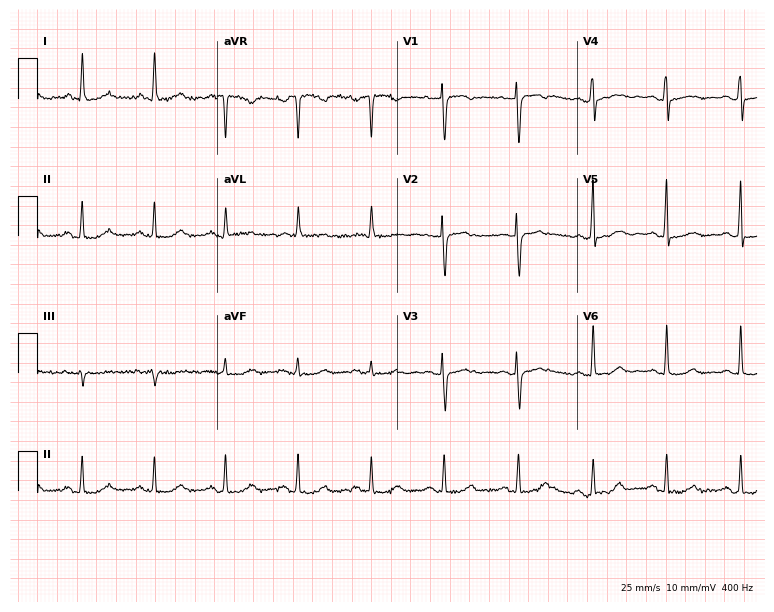
Standard 12-lead ECG recorded from a female patient, 61 years old (7.3-second recording at 400 Hz). Read as a normal ECG.